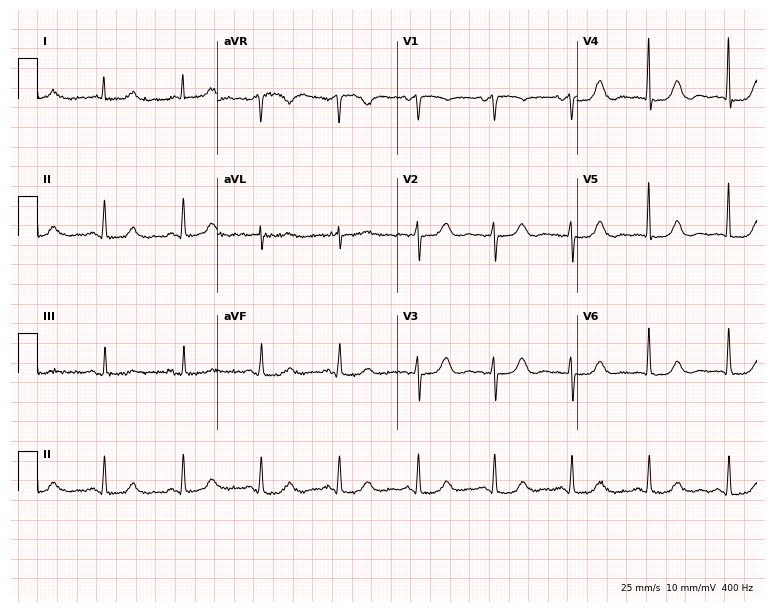
12-lead ECG from a 69-year-old female. Labelled as a normal ECG.